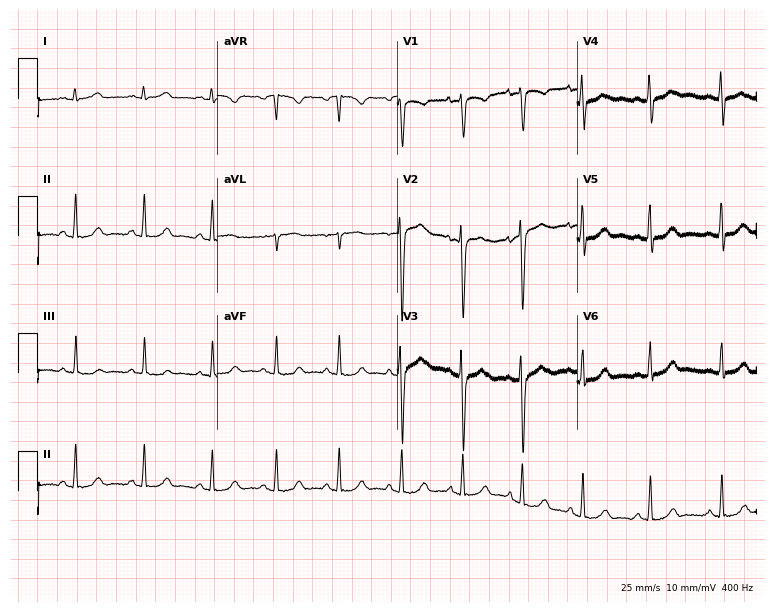
12-lead ECG from a 19-year-old female. Labelled as a normal ECG.